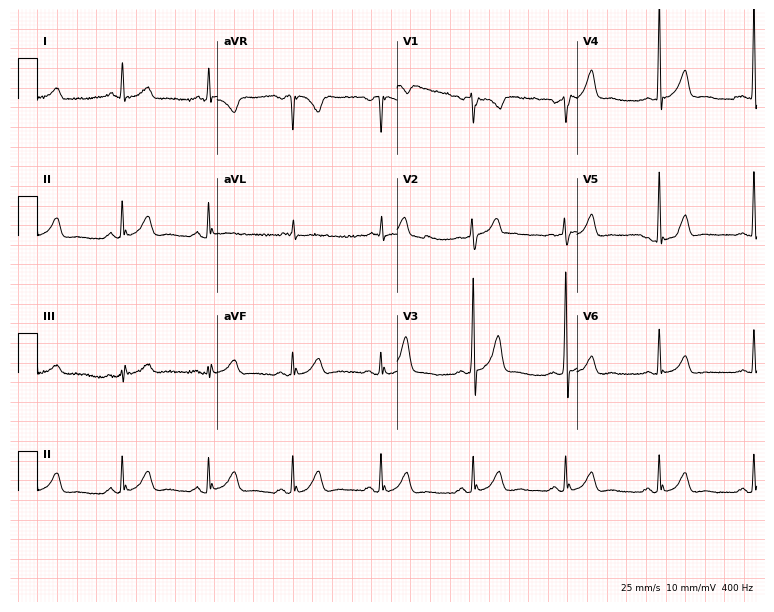
Standard 12-lead ECG recorded from a 42-year-old male patient (7.3-second recording at 400 Hz). Read as a normal ECG.